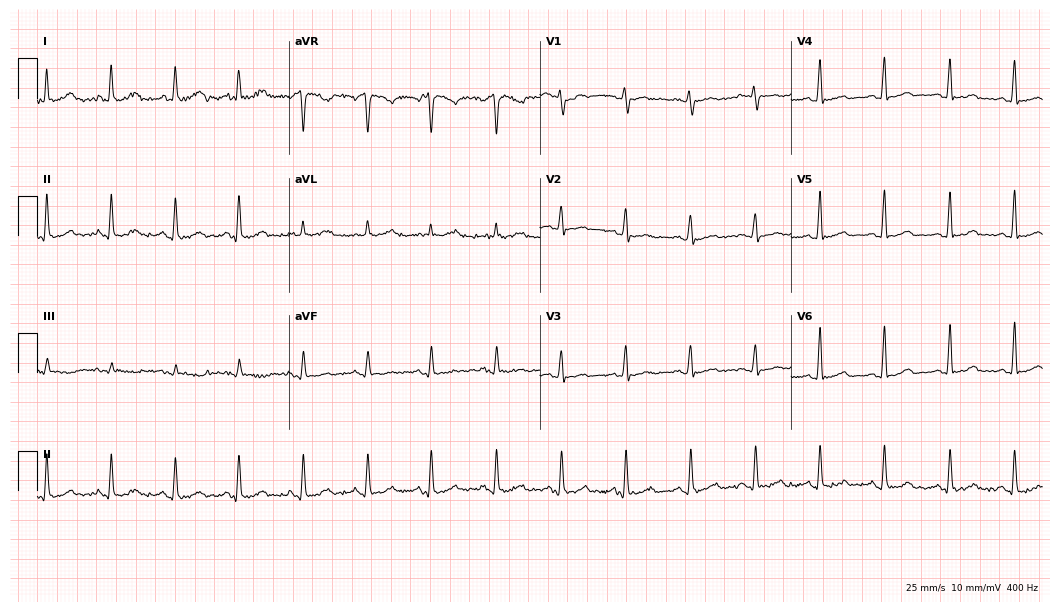
12-lead ECG (10.2-second recording at 400 Hz) from a 40-year-old female patient. Screened for six findings — first-degree AV block, right bundle branch block, left bundle branch block, sinus bradycardia, atrial fibrillation, sinus tachycardia — none is recorded.